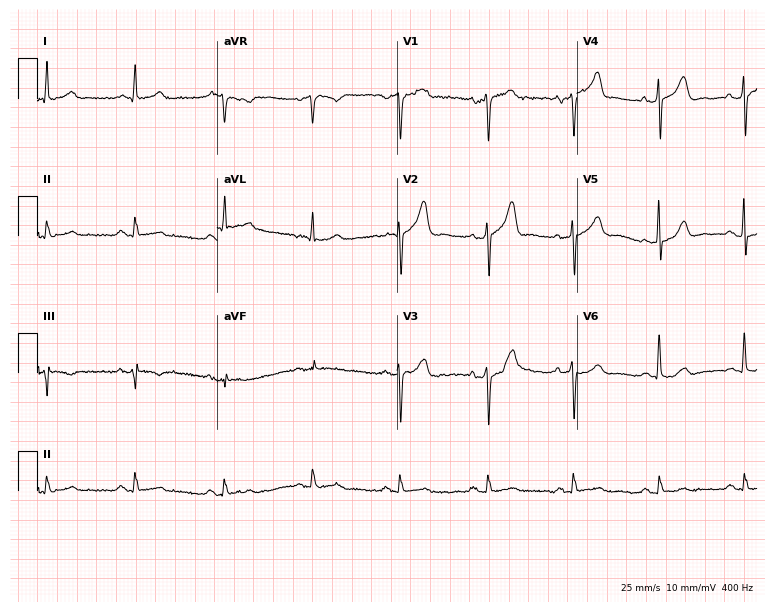
Standard 12-lead ECG recorded from a man, 50 years old (7.3-second recording at 400 Hz). Read as a normal ECG.